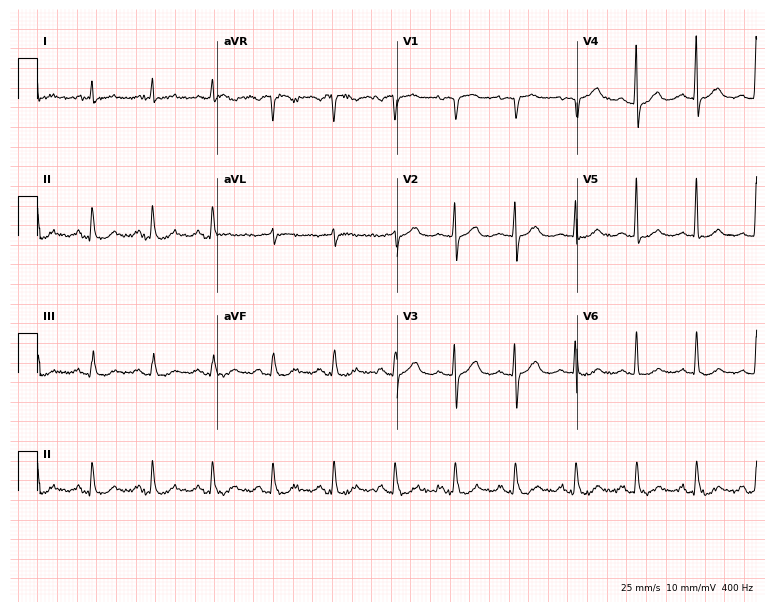
Standard 12-lead ECG recorded from a 71-year-old female patient (7.3-second recording at 400 Hz). None of these six findings is recorded: first-degree AV block, right bundle branch block, left bundle branch block, sinus bradycardia, atrial fibrillation, sinus tachycardia.